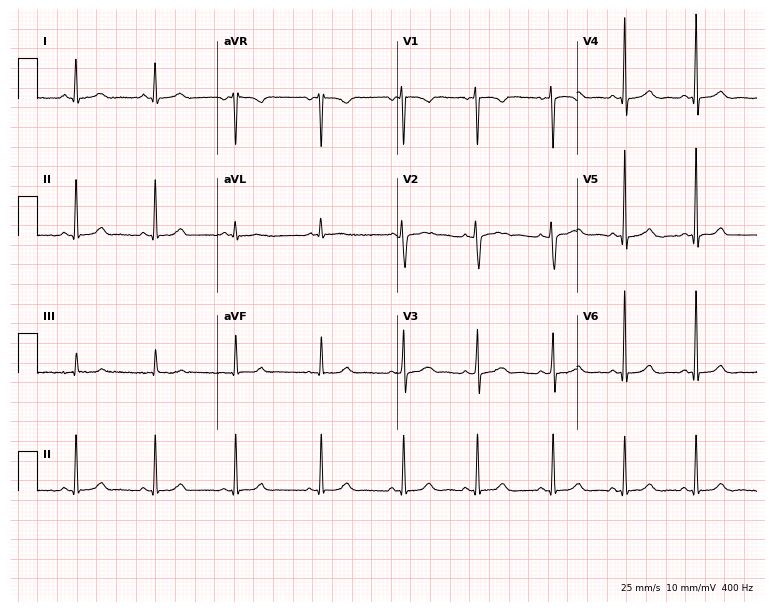
Standard 12-lead ECG recorded from a female, 28 years old (7.3-second recording at 400 Hz). Read as a normal ECG.